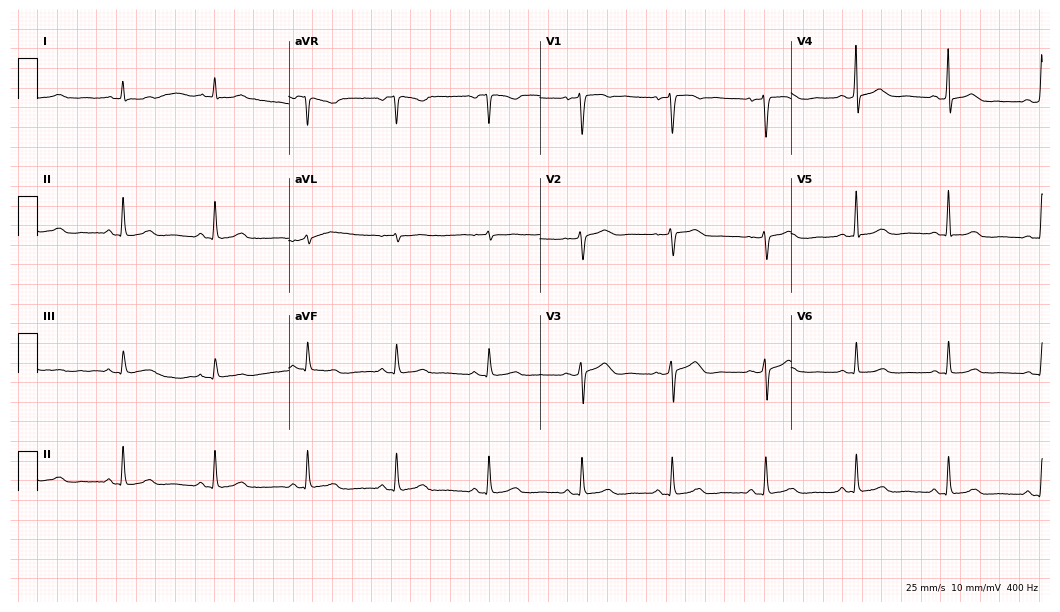
Standard 12-lead ECG recorded from a 46-year-old female (10.2-second recording at 400 Hz). None of these six findings is recorded: first-degree AV block, right bundle branch block, left bundle branch block, sinus bradycardia, atrial fibrillation, sinus tachycardia. Findings outside these six are not listed.